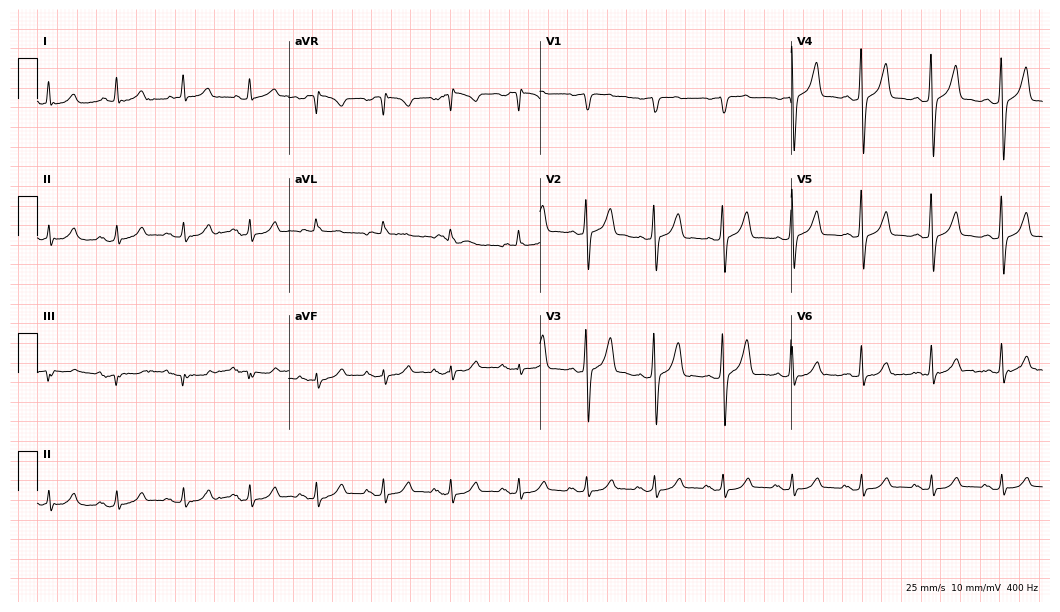
Standard 12-lead ECG recorded from a 58-year-old male (10.2-second recording at 400 Hz). Read as a normal ECG.